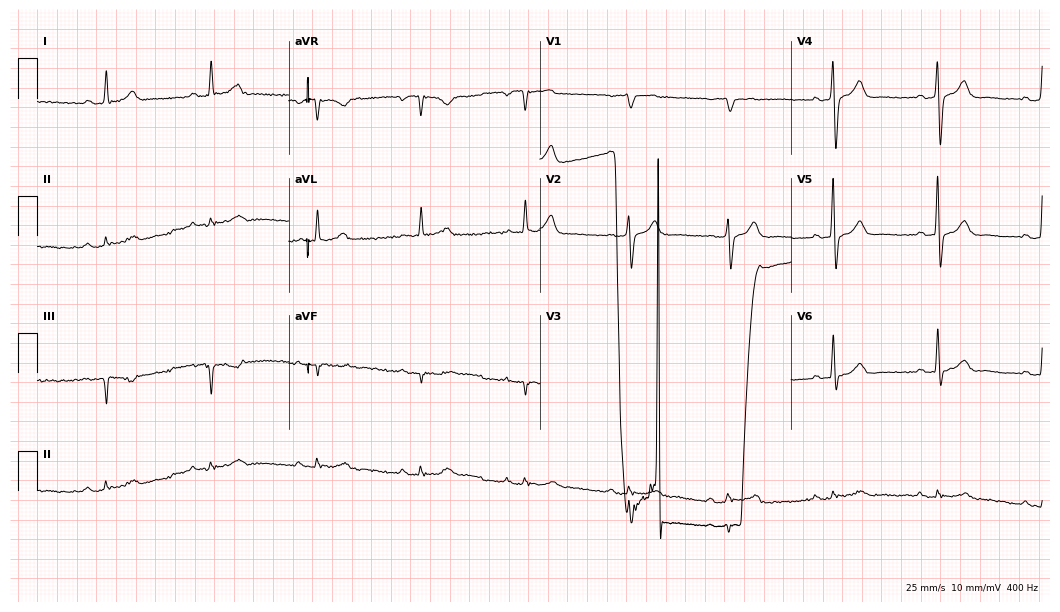
12-lead ECG from a 61-year-old male. Screened for six findings — first-degree AV block, right bundle branch block (RBBB), left bundle branch block (LBBB), sinus bradycardia, atrial fibrillation (AF), sinus tachycardia — none is recorded. Findings outside these six are not listed.